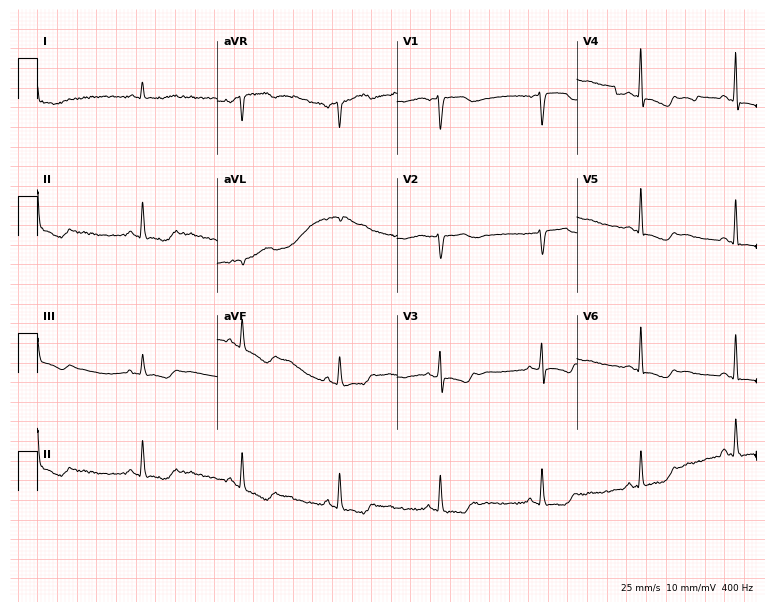
Electrocardiogram, a female patient, 60 years old. Of the six screened findings (first-degree AV block, right bundle branch block (RBBB), left bundle branch block (LBBB), sinus bradycardia, atrial fibrillation (AF), sinus tachycardia), none is recorded.